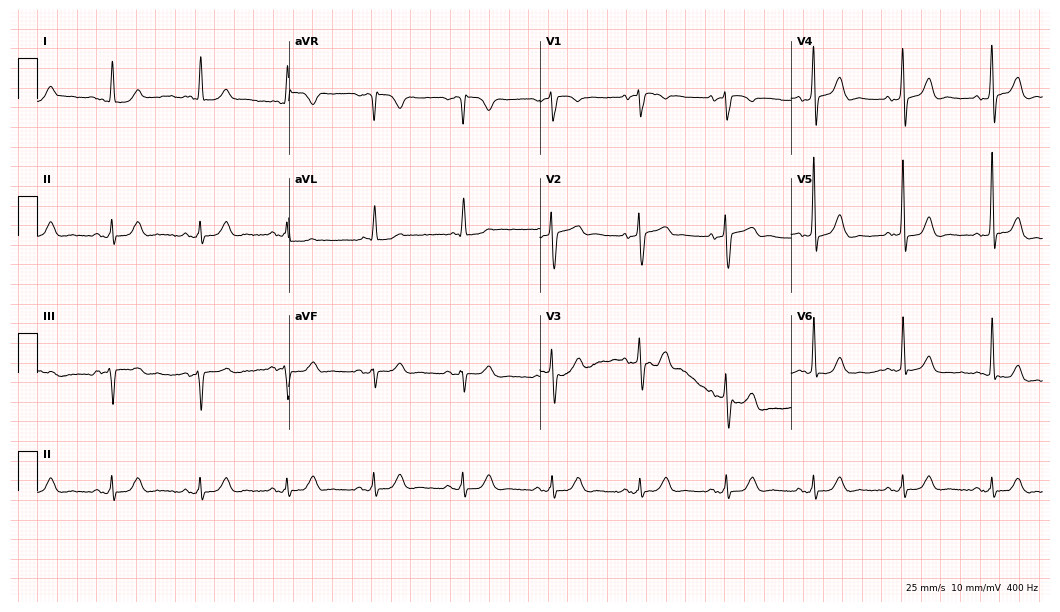
Standard 12-lead ECG recorded from a man, 78 years old. Read as a normal ECG.